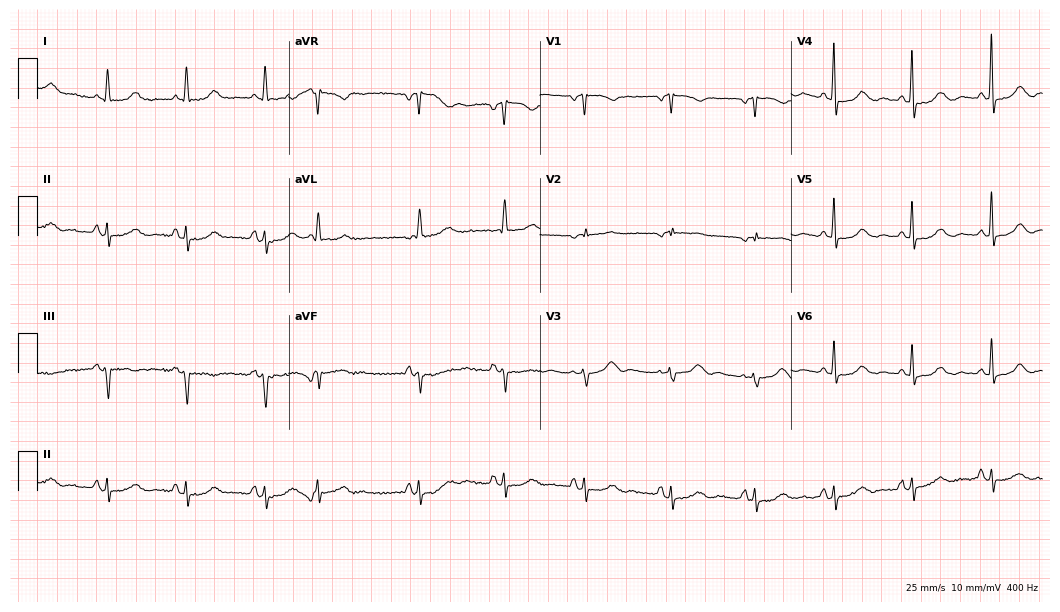
12-lead ECG (10.2-second recording at 400 Hz) from a 65-year-old woman. Screened for six findings — first-degree AV block, right bundle branch block (RBBB), left bundle branch block (LBBB), sinus bradycardia, atrial fibrillation (AF), sinus tachycardia — none is recorded.